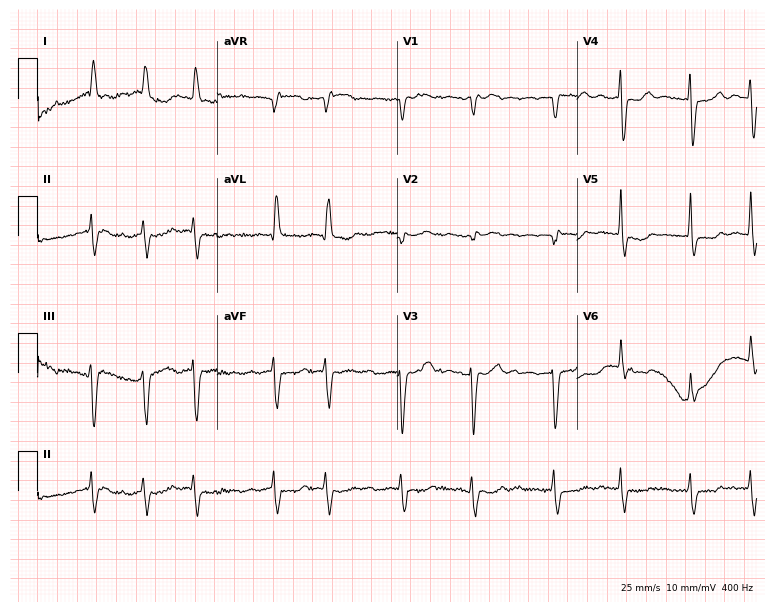
Electrocardiogram, an 84-year-old female patient. Interpretation includes atrial fibrillation.